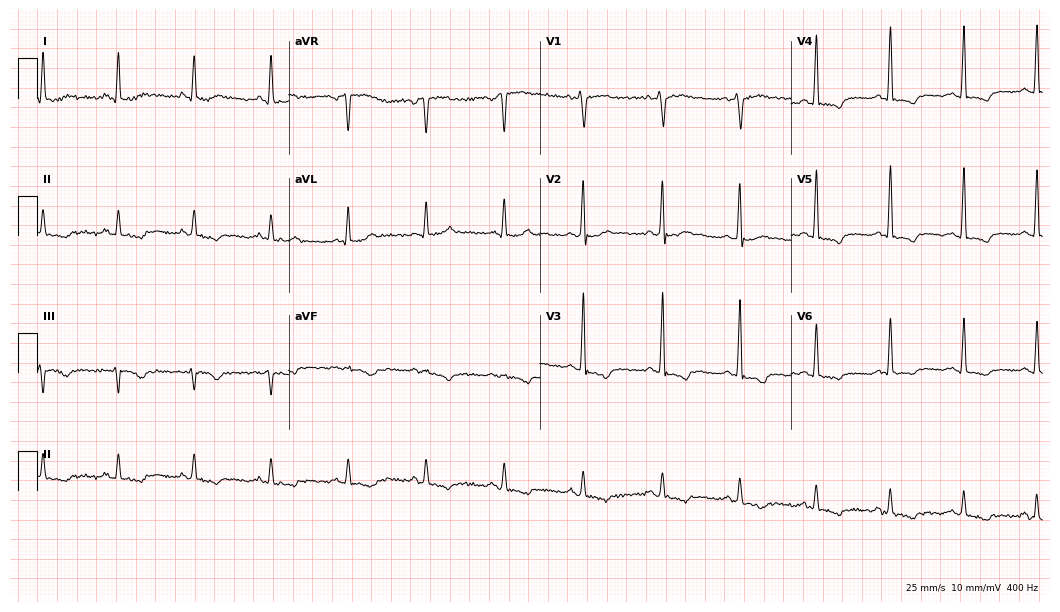
Standard 12-lead ECG recorded from a 44-year-old man (10.2-second recording at 400 Hz). None of these six findings is recorded: first-degree AV block, right bundle branch block, left bundle branch block, sinus bradycardia, atrial fibrillation, sinus tachycardia. Other findings, if any, are not listed.